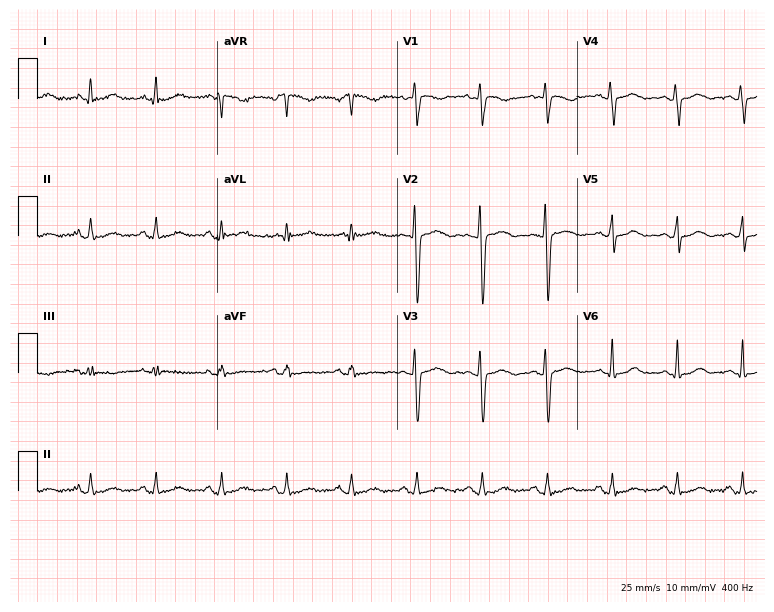
12-lead ECG from a 36-year-old woman (7.3-second recording at 400 Hz). No first-degree AV block, right bundle branch block, left bundle branch block, sinus bradycardia, atrial fibrillation or sinus tachycardia recorded for this tracing. Findings outside these six are not listed.